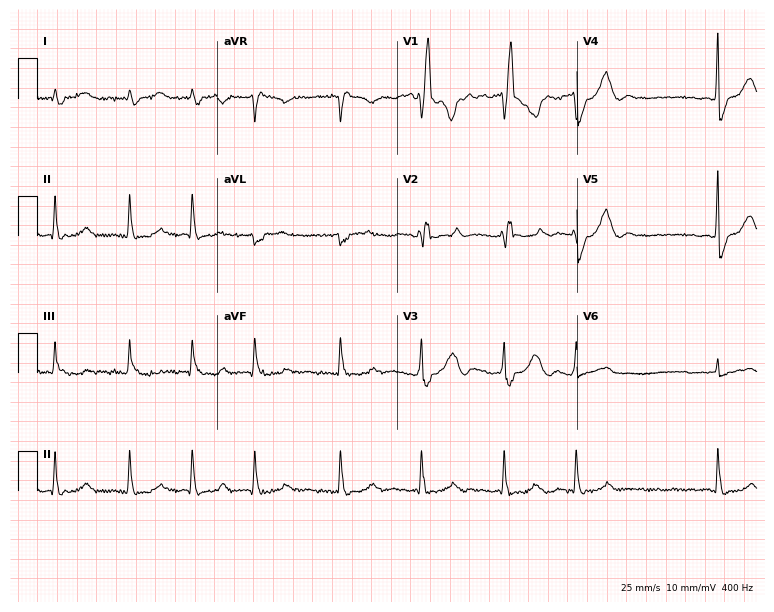
12-lead ECG from a male patient, 85 years old. Shows right bundle branch block (RBBB), atrial fibrillation (AF).